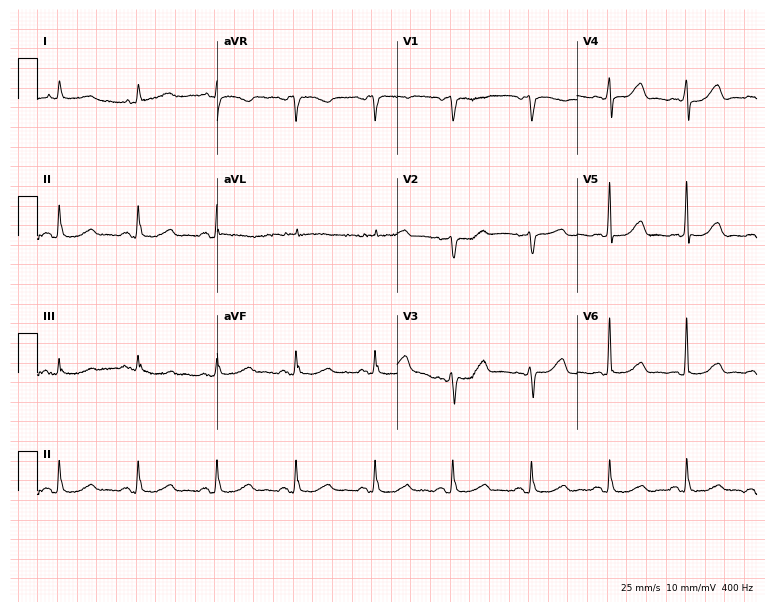
Resting 12-lead electrocardiogram. Patient: an 81-year-old man. Read as a normal ECG.